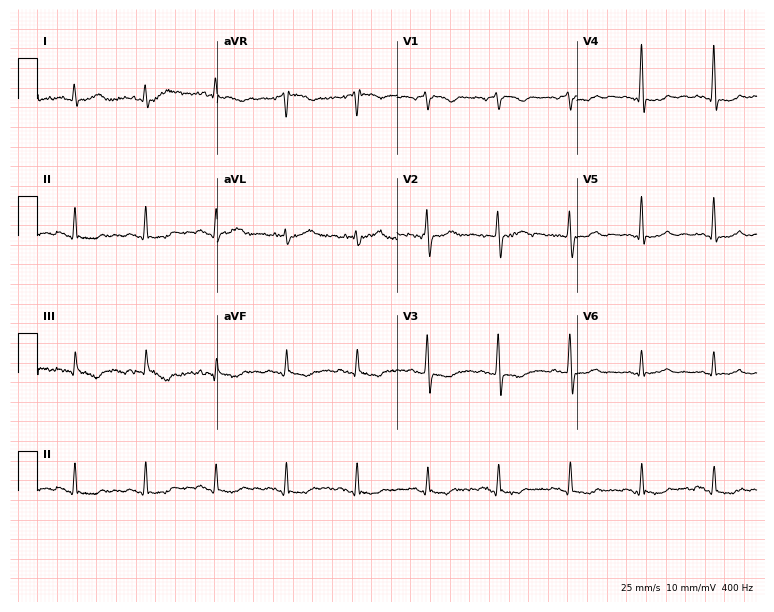
ECG (7.3-second recording at 400 Hz) — an 83-year-old female patient. Screened for six findings — first-degree AV block, right bundle branch block (RBBB), left bundle branch block (LBBB), sinus bradycardia, atrial fibrillation (AF), sinus tachycardia — none is recorded.